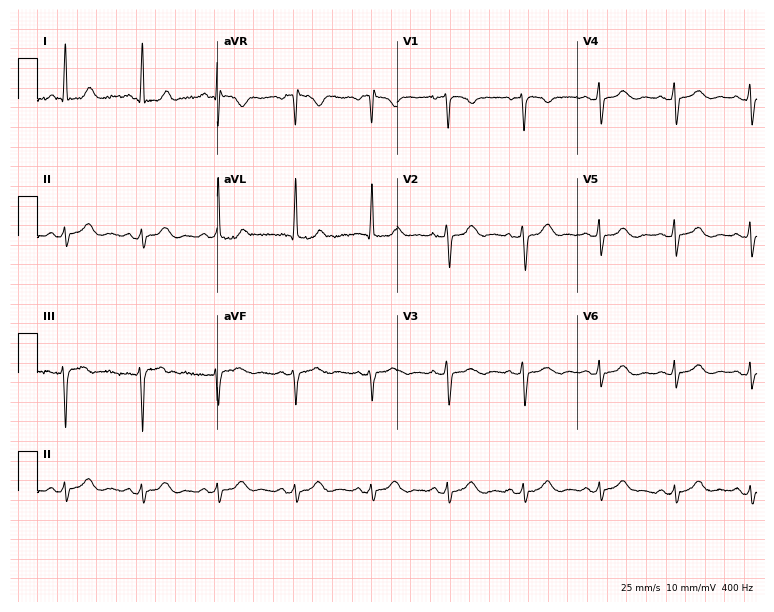
Standard 12-lead ECG recorded from a female patient, 57 years old. None of these six findings is recorded: first-degree AV block, right bundle branch block, left bundle branch block, sinus bradycardia, atrial fibrillation, sinus tachycardia.